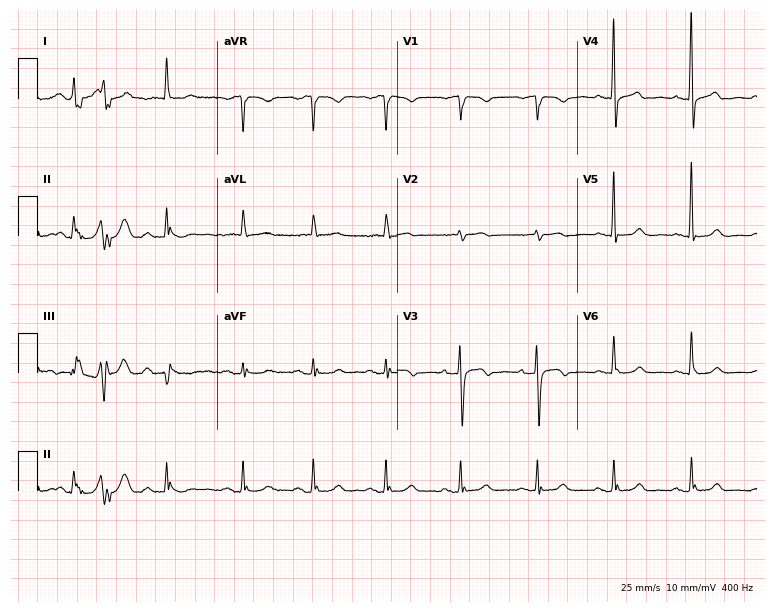
Resting 12-lead electrocardiogram (7.3-second recording at 400 Hz). Patient: a female, 80 years old. None of these six findings is recorded: first-degree AV block, right bundle branch block, left bundle branch block, sinus bradycardia, atrial fibrillation, sinus tachycardia.